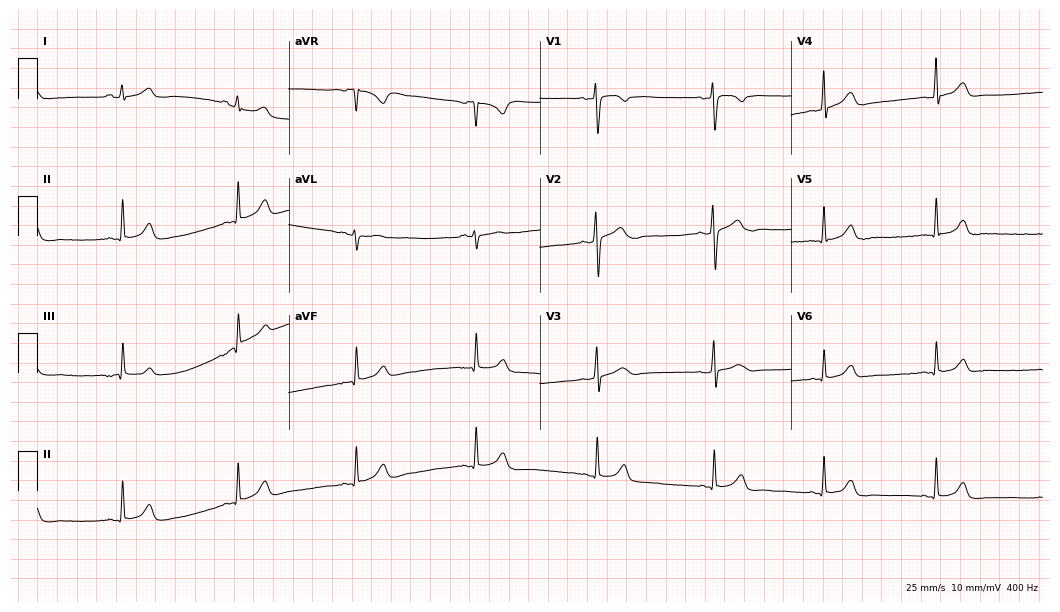
12-lead ECG from a woman, 21 years old. Labelled as a normal ECG.